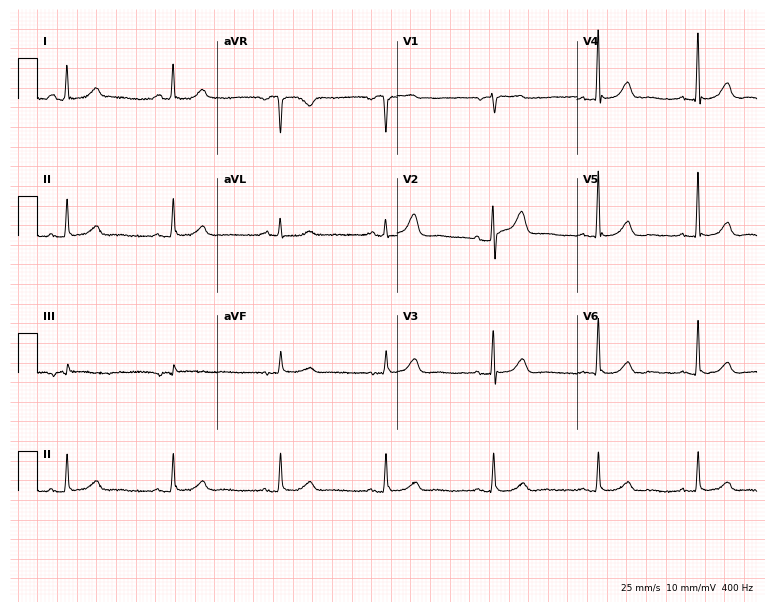
Electrocardiogram (7.3-second recording at 400 Hz), a woman, 62 years old. Overall reading on record: normal ECG.